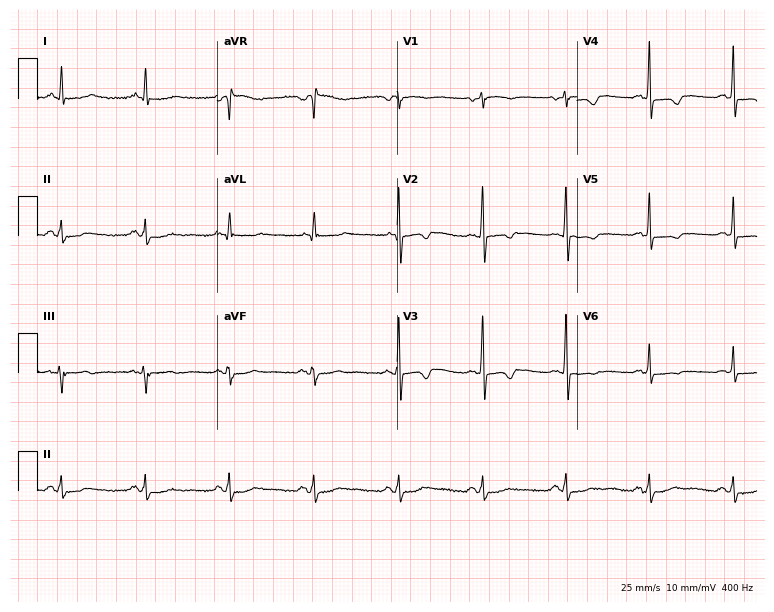
ECG — a female, 63 years old. Screened for six findings — first-degree AV block, right bundle branch block, left bundle branch block, sinus bradycardia, atrial fibrillation, sinus tachycardia — none is recorded.